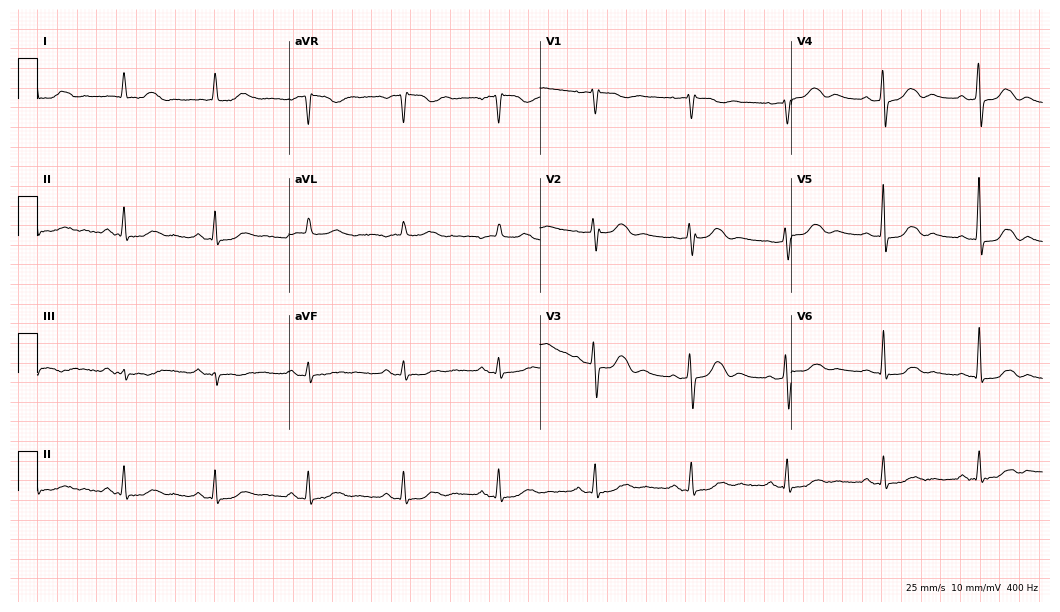
12-lead ECG (10.2-second recording at 400 Hz) from a 50-year-old woman. Labelled as a normal ECG.